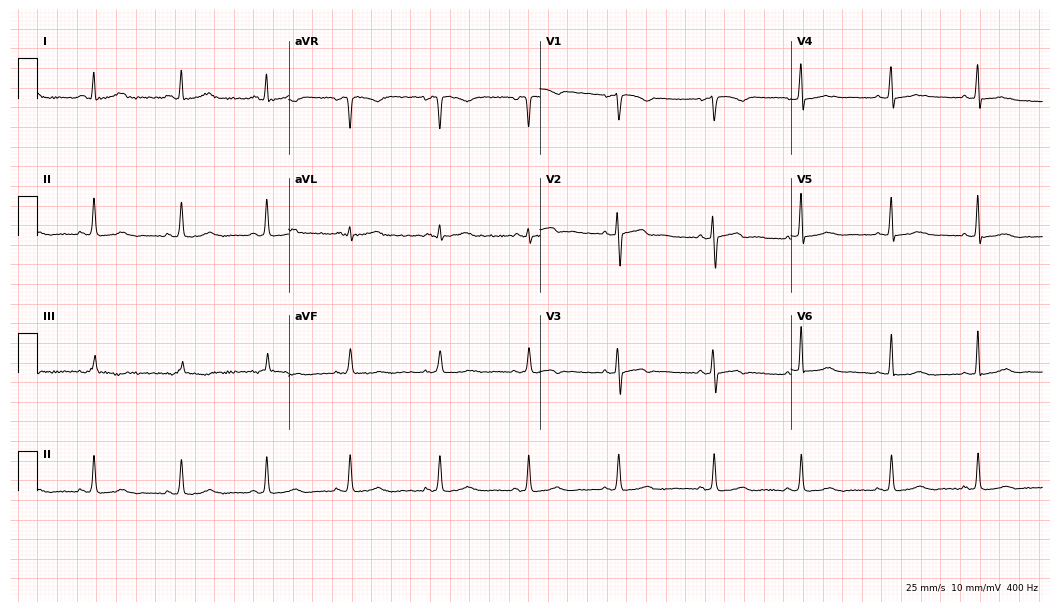
12-lead ECG from a 42-year-old woman (10.2-second recording at 400 Hz). Recorded interpretation: within normal limits.